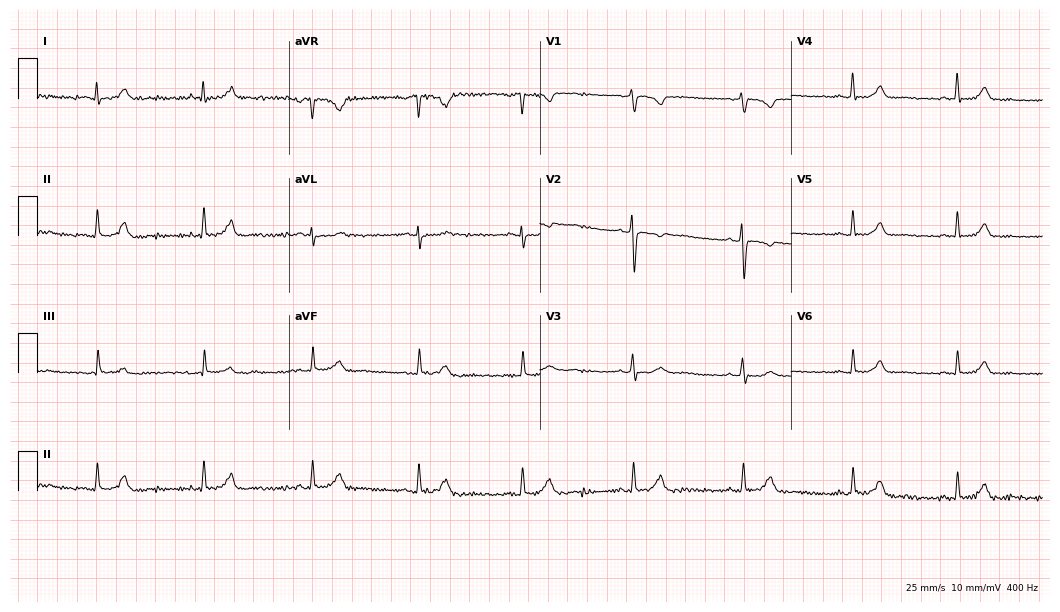
Electrocardiogram, a 68-year-old female patient. Overall reading on record: normal ECG.